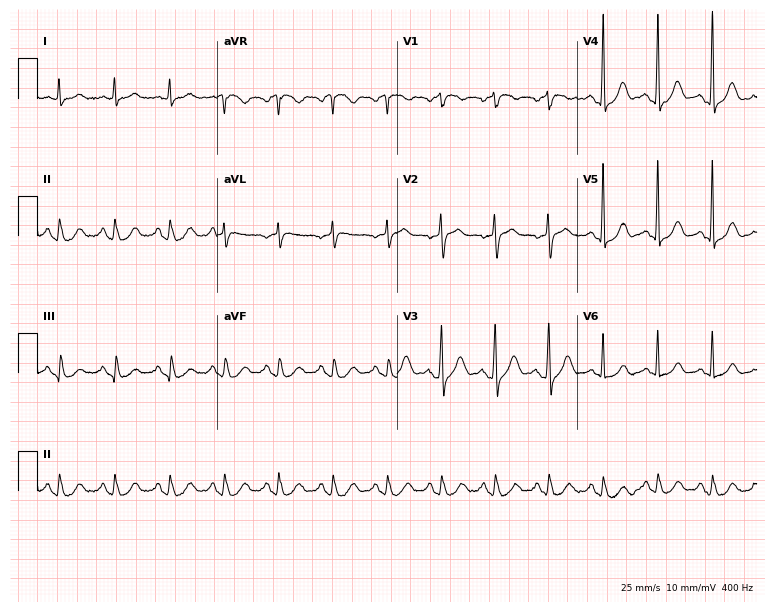
ECG — a 60-year-old man. Findings include sinus tachycardia (a sinus rate of 100 beats per minute or more).